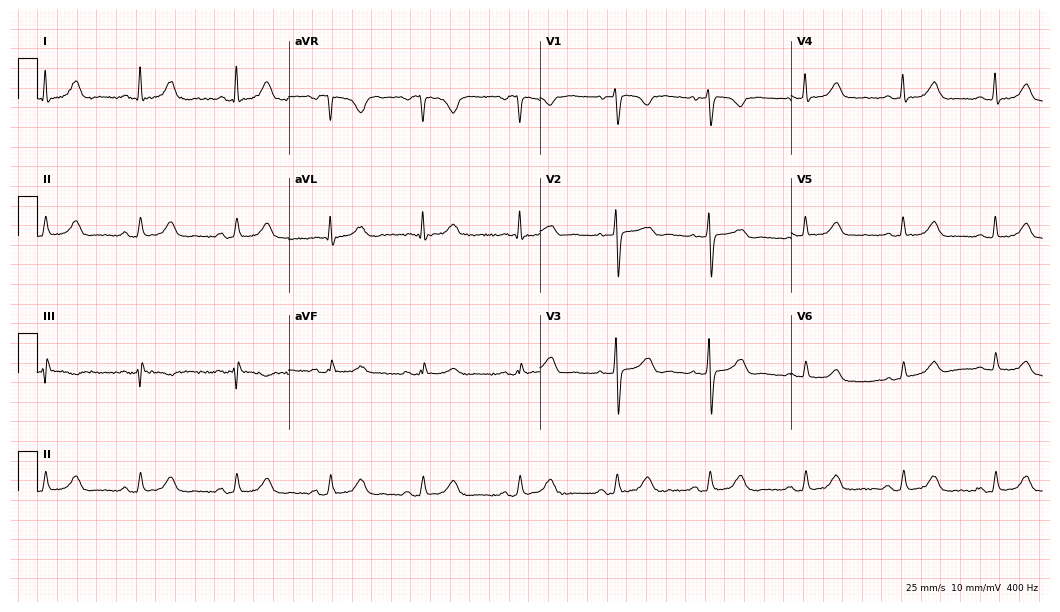
12-lead ECG from a 62-year-old female. Labelled as a normal ECG.